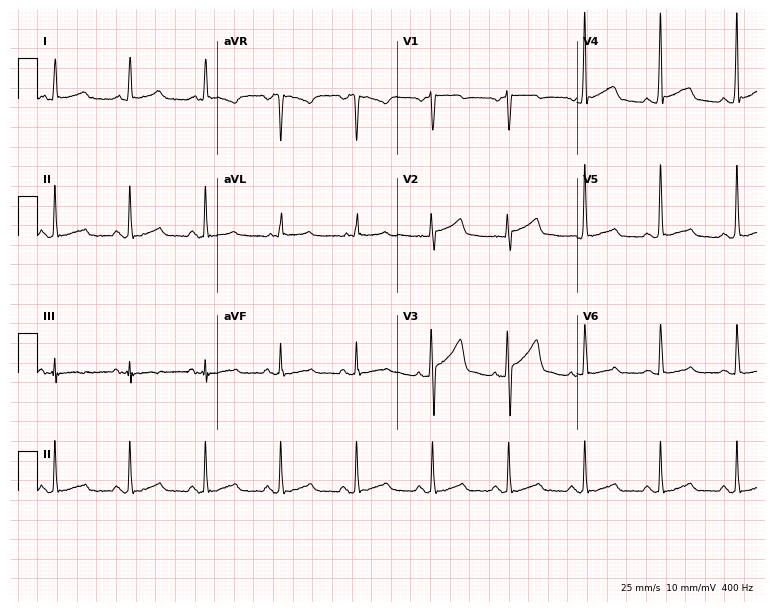
Electrocardiogram, a man, 69 years old. Of the six screened findings (first-degree AV block, right bundle branch block (RBBB), left bundle branch block (LBBB), sinus bradycardia, atrial fibrillation (AF), sinus tachycardia), none is recorded.